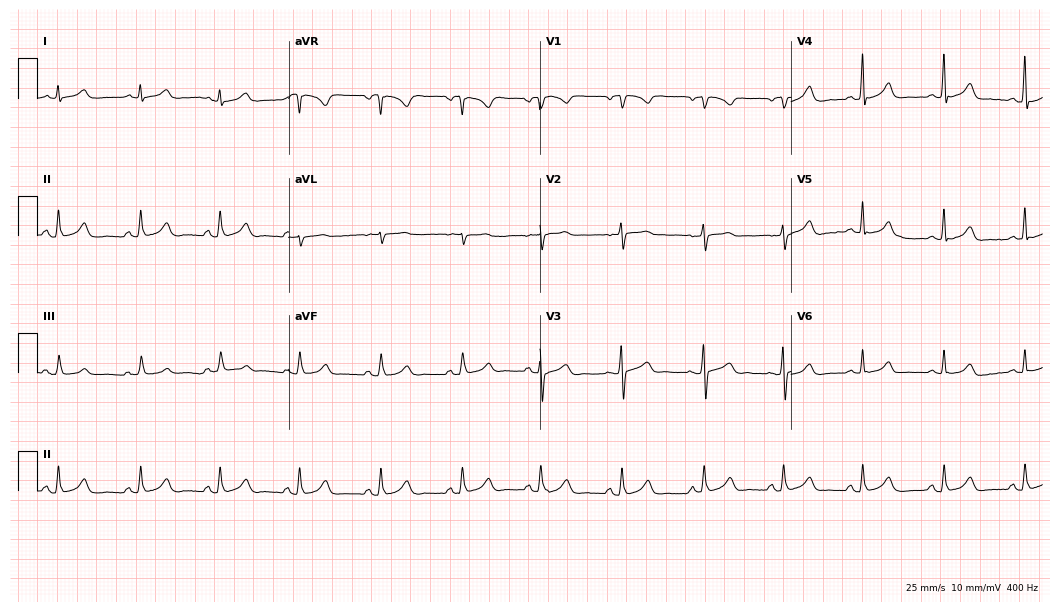
Electrocardiogram (10.2-second recording at 400 Hz), a 34-year-old woman. Overall reading on record: normal ECG.